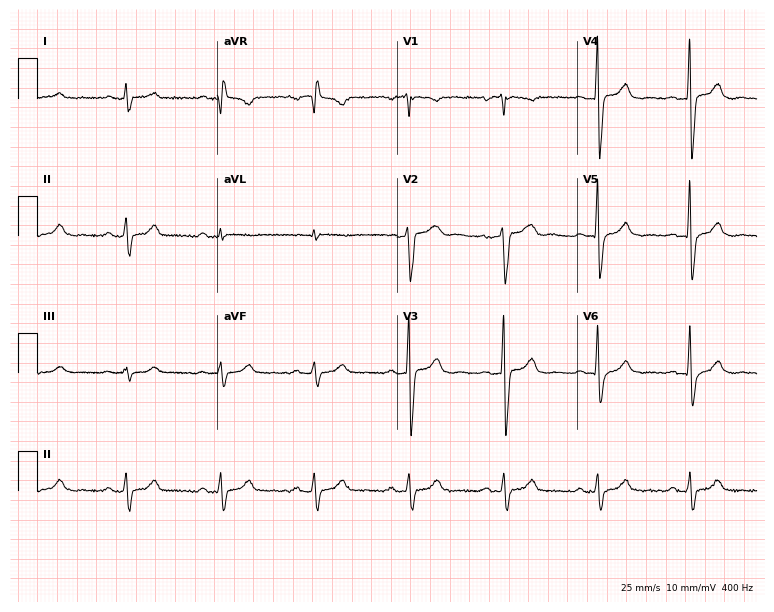
Standard 12-lead ECG recorded from a male, 58 years old. None of these six findings is recorded: first-degree AV block, right bundle branch block (RBBB), left bundle branch block (LBBB), sinus bradycardia, atrial fibrillation (AF), sinus tachycardia. Other findings, if any, are not listed.